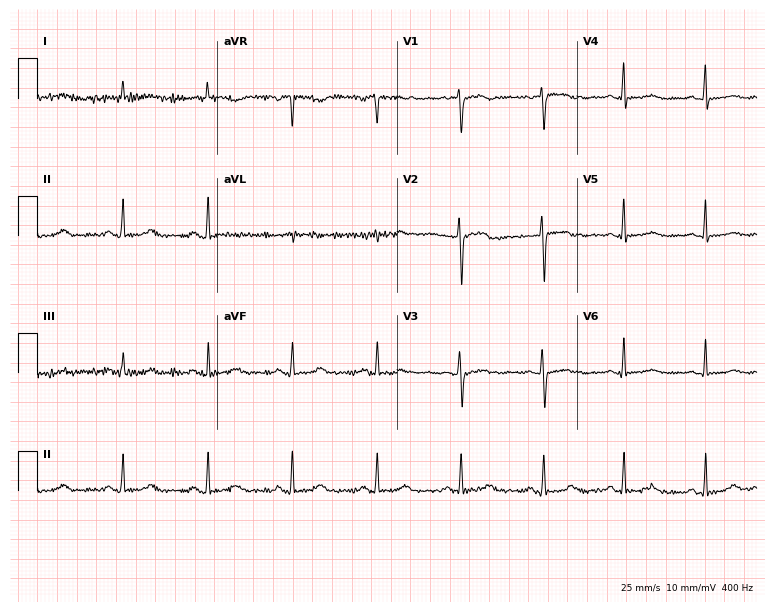
Standard 12-lead ECG recorded from a 52-year-old female patient. None of these six findings is recorded: first-degree AV block, right bundle branch block, left bundle branch block, sinus bradycardia, atrial fibrillation, sinus tachycardia.